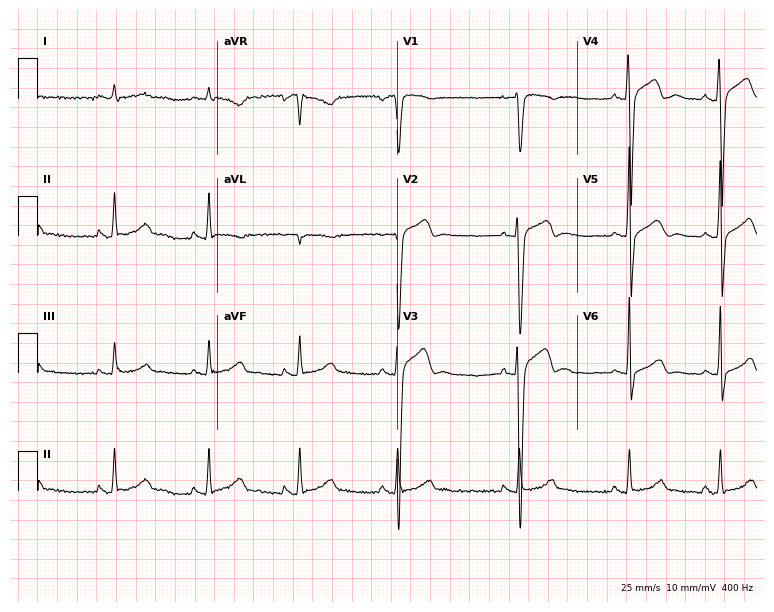
Standard 12-lead ECG recorded from a male patient, 40 years old. None of these six findings is recorded: first-degree AV block, right bundle branch block (RBBB), left bundle branch block (LBBB), sinus bradycardia, atrial fibrillation (AF), sinus tachycardia.